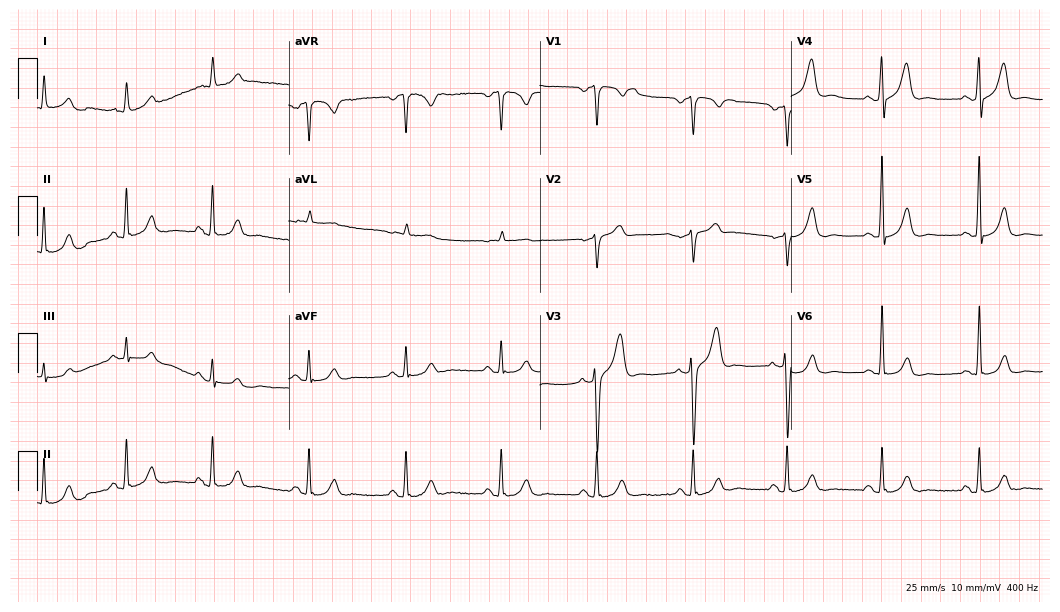
ECG — a male patient, 73 years old. Labelled as a normal ECG.